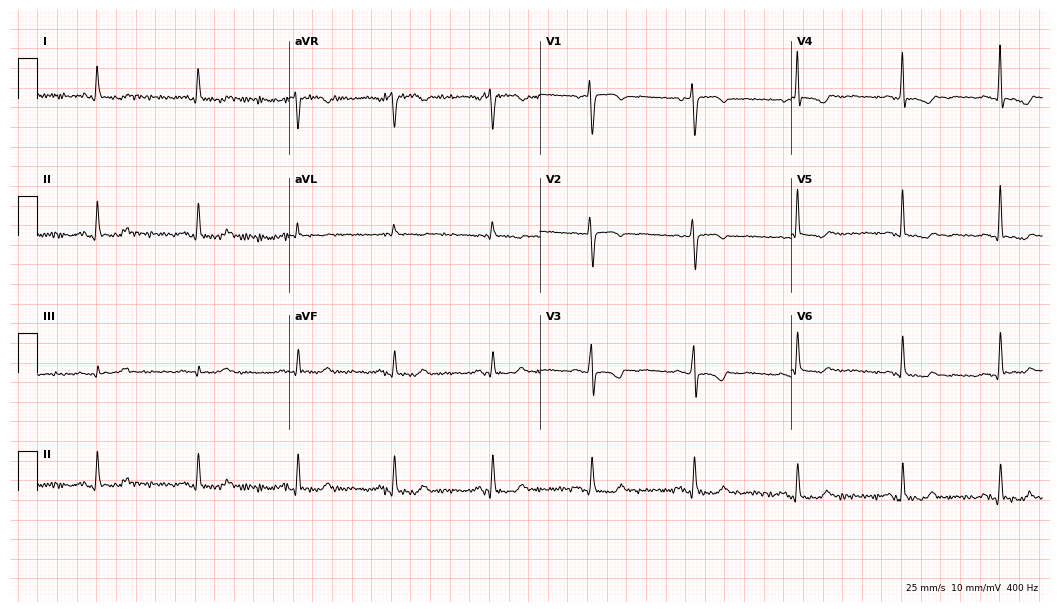
ECG (10.2-second recording at 400 Hz) — a 59-year-old woman. Screened for six findings — first-degree AV block, right bundle branch block (RBBB), left bundle branch block (LBBB), sinus bradycardia, atrial fibrillation (AF), sinus tachycardia — none is recorded.